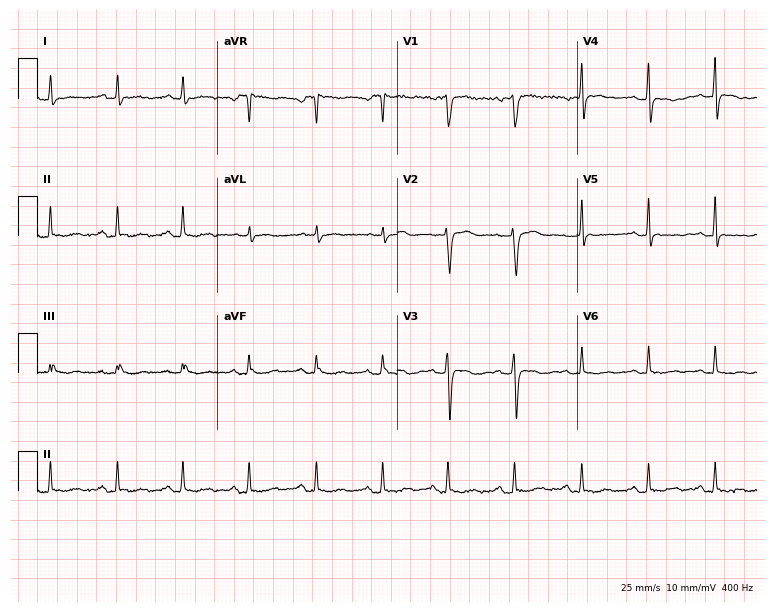
12-lead ECG (7.3-second recording at 400 Hz) from a 41-year-old woman. Screened for six findings — first-degree AV block, right bundle branch block (RBBB), left bundle branch block (LBBB), sinus bradycardia, atrial fibrillation (AF), sinus tachycardia — none is recorded. Other findings, if any, are not listed.